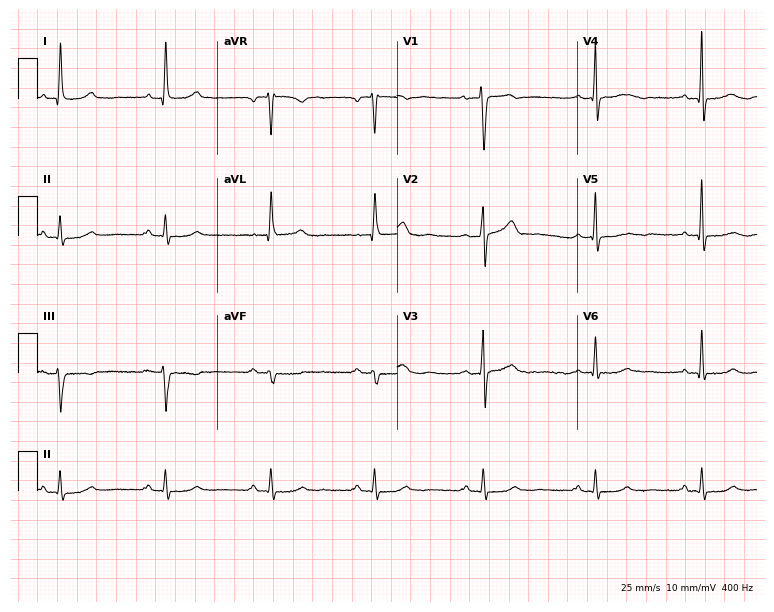
ECG (7.3-second recording at 400 Hz) — a 53-year-old woman. Labelled as a normal ECG.